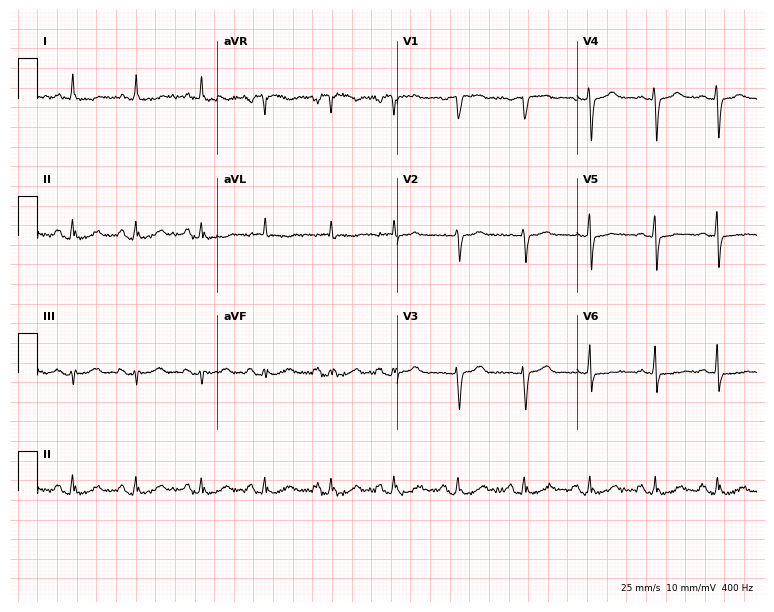
12-lead ECG (7.3-second recording at 400 Hz) from a 72-year-old female patient. Screened for six findings — first-degree AV block, right bundle branch block, left bundle branch block, sinus bradycardia, atrial fibrillation, sinus tachycardia — none is recorded.